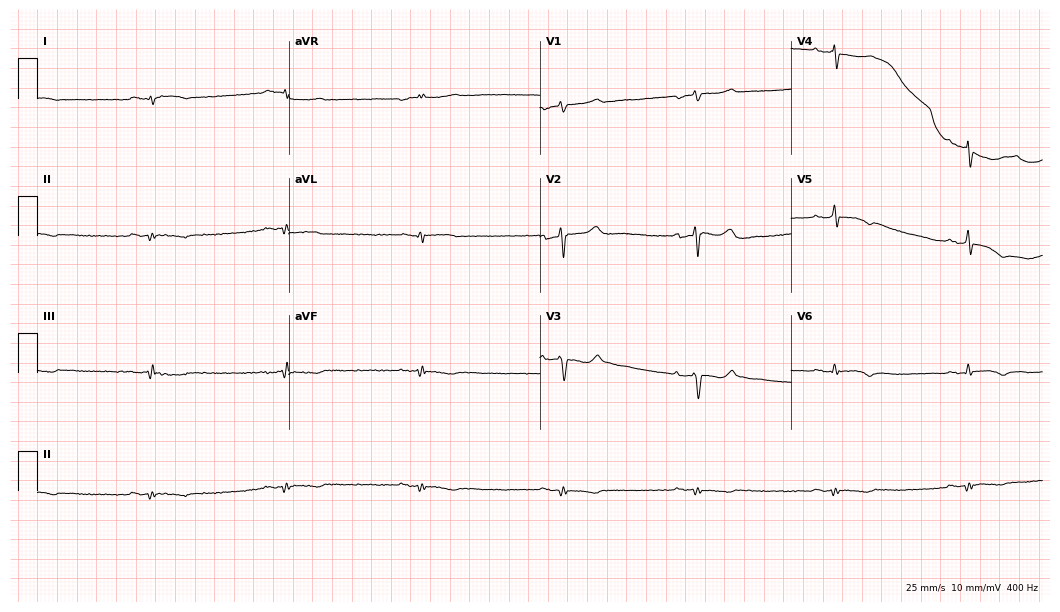
ECG (10.2-second recording at 400 Hz) — a 59-year-old man. Findings include sinus bradycardia (a sinus rate of 50 beats per minute or less).